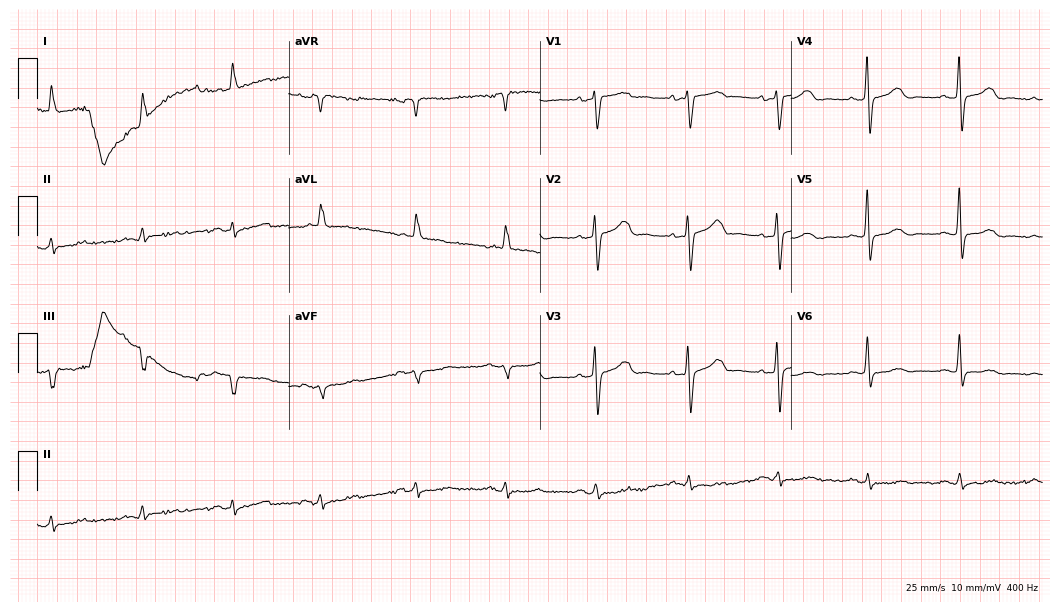
Resting 12-lead electrocardiogram (10.2-second recording at 400 Hz). Patient: an 81-year-old woman. None of these six findings is recorded: first-degree AV block, right bundle branch block, left bundle branch block, sinus bradycardia, atrial fibrillation, sinus tachycardia.